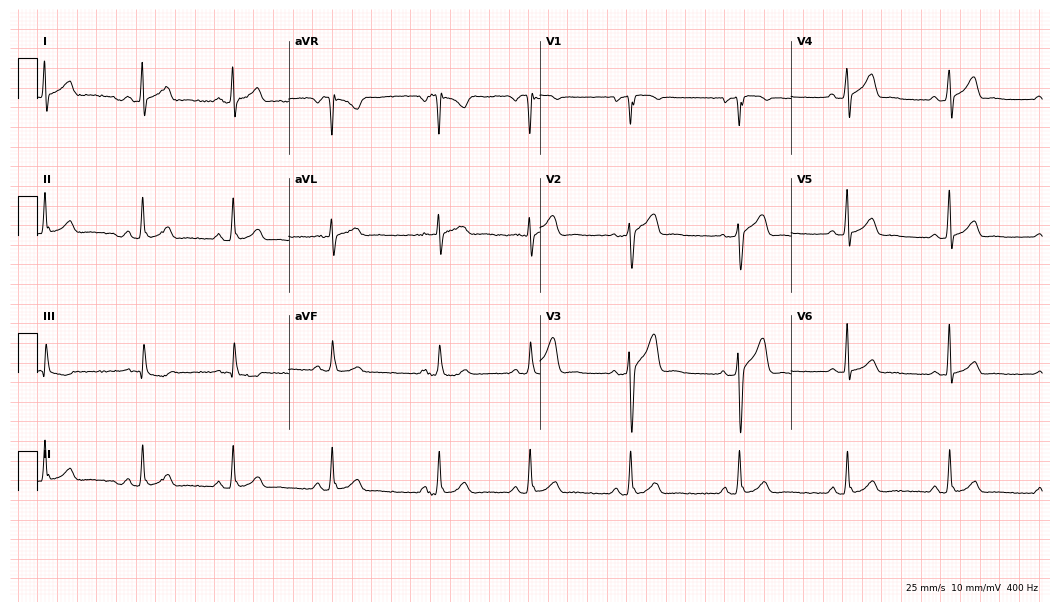
12-lead ECG from a 40-year-old male. Findings include first-degree AV block.